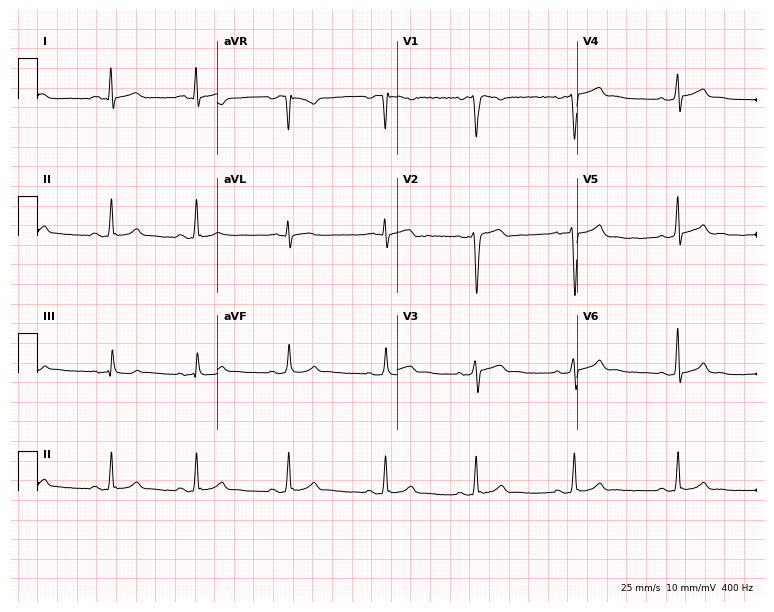
ECG — a man, 19 years old. Screened for six findings — first-degree AV block, right bundle branch block, left bundle branch block, sinus bradycardia, atrial fibrillation, sinus tachycardia — none is recorded.